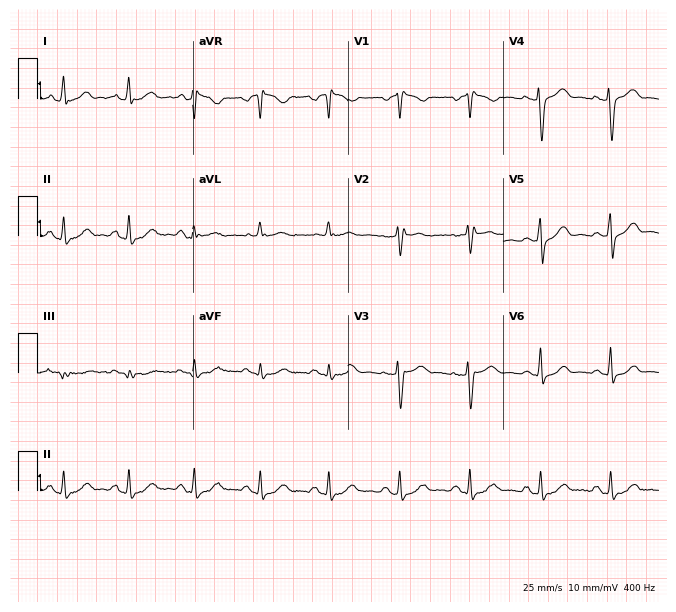
ECG (6.3-second recording at 400 Hz) — a woman, 41 years old. Labelled as a normal ECG.